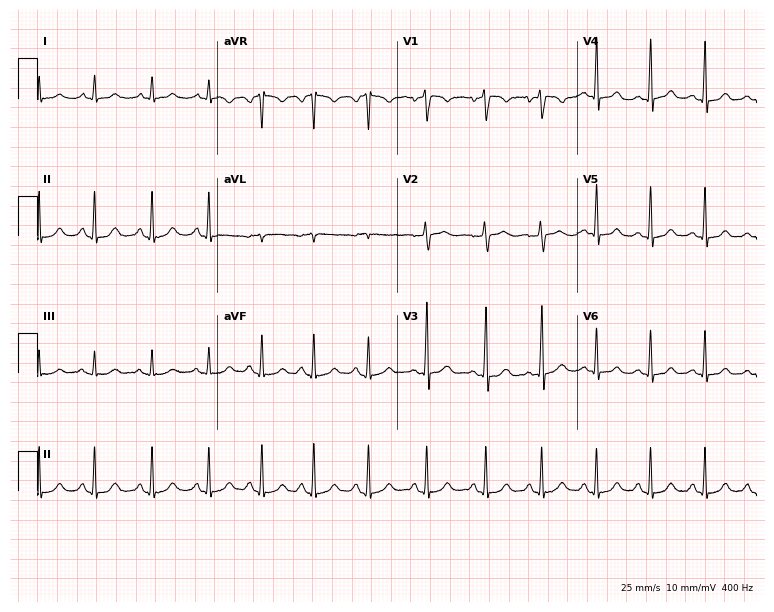
12-lead ECG from a 25-year-old woman. Findings include sinus tachycardia (a sinus rate of 100 beats per minute or more).